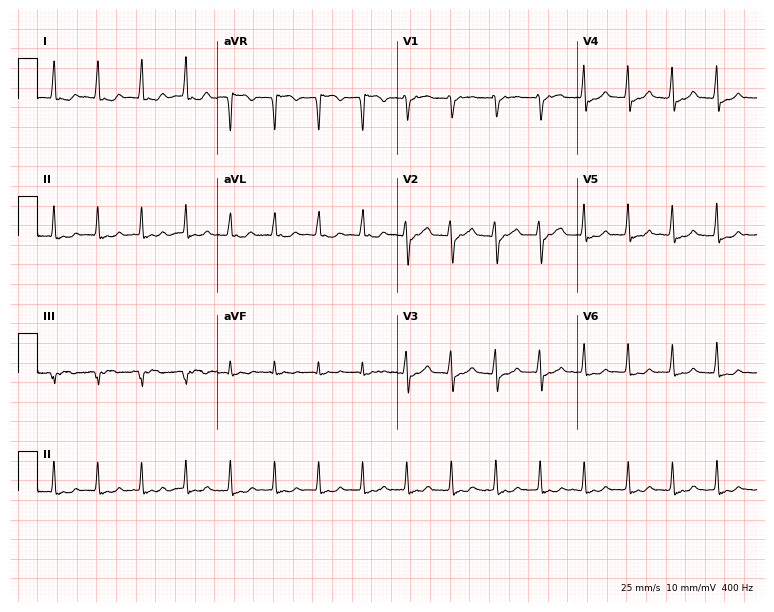
12-lead ECG from a 53-year-old woman. Shows sinus tachycardia (a sinus rate of 100 beats per minute or more).